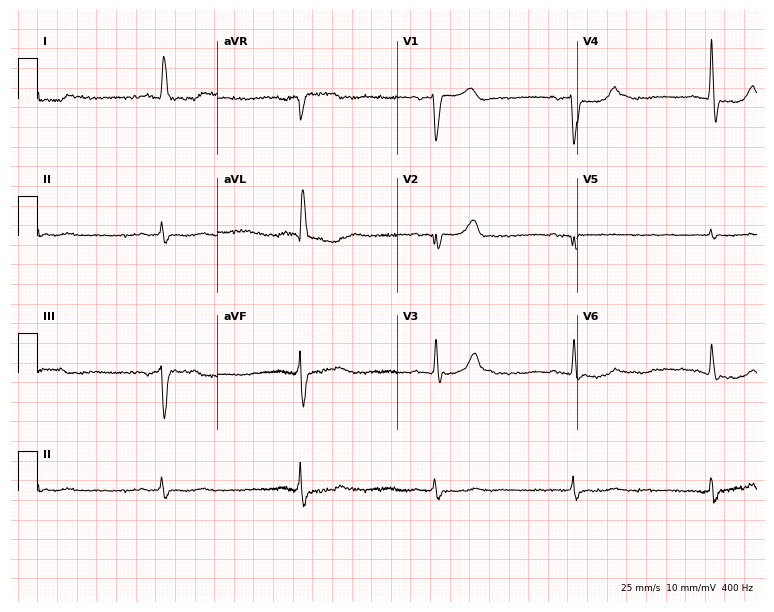
ECG — a 73-year-old female. Screened for six findings — first-degree AV block, right bundle branch block, left bundle branch block, sinus bradycardia, atrial fibrillation, sinus tachycardia — none is recorded. Only these six findings were labelled.